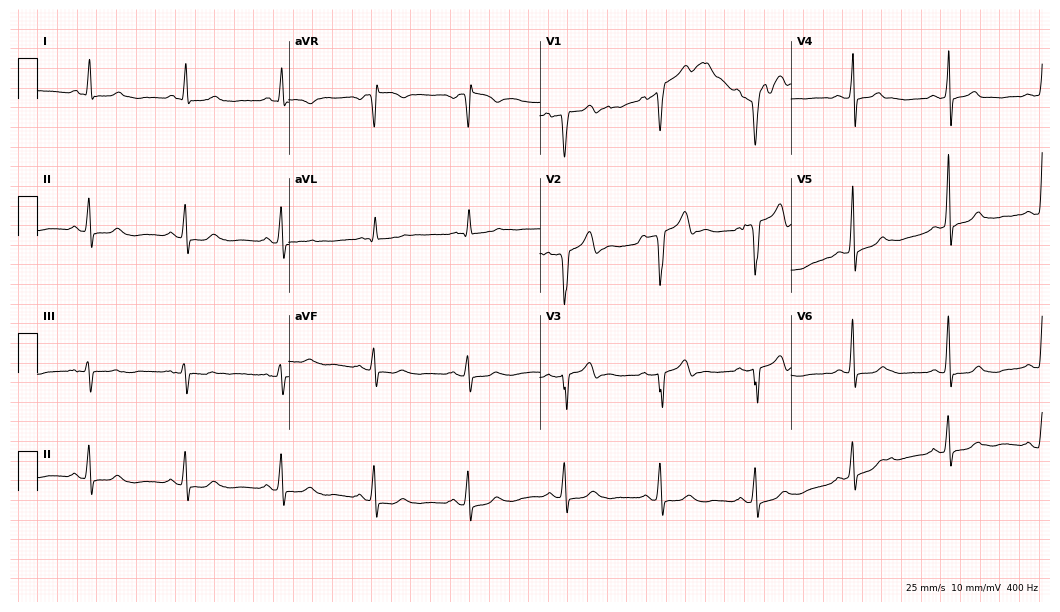
Resting 12-lead electrocardiogram. Patient: a 74-year-old male. None of these six findings is recorded: first-degree AV block, right bundle branch block, left bundle branch block, sinus bradycardia, atrial fibrillation, sinus tachycardia. Only these six findings were labelled.